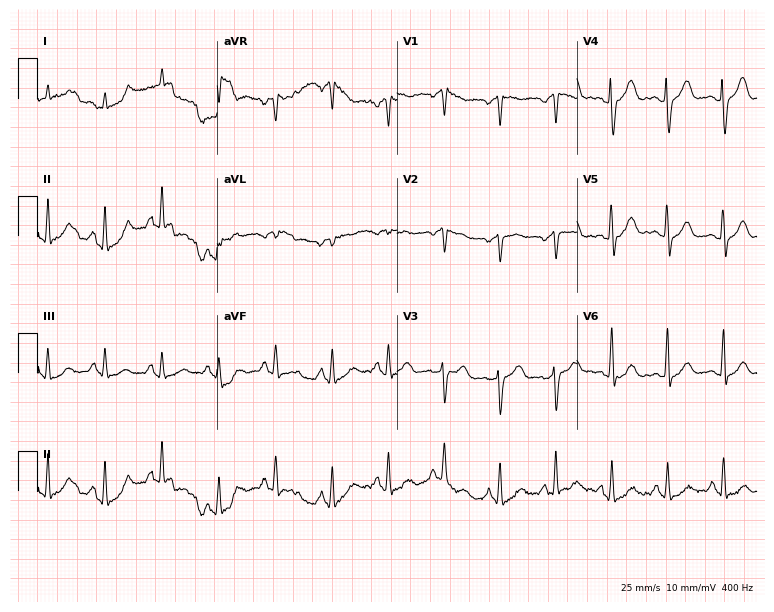
Resting 12-lead electrocardiogram (7.3-second recording at 400 Hz). Patient: a 78-year-old male. The tracing shows sinus tachycardia (a sinus rate of 100 beats per minute or more).